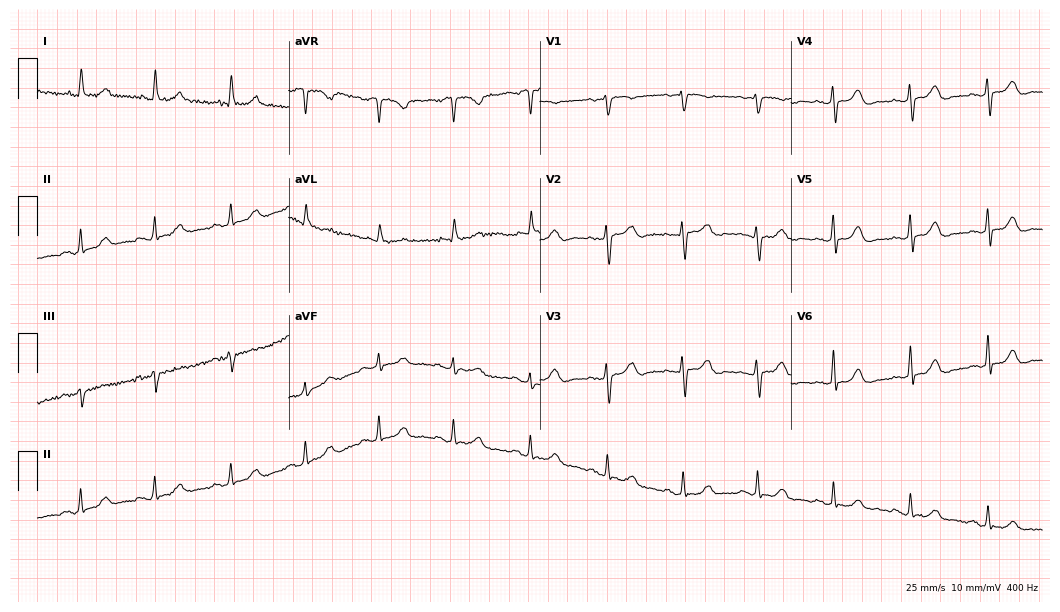
Electrocardiogram (10.2-second recording at 400 Hz), a woman, 75 years old. Of the six screened findings (first-degree AV block, right bundle branch block, left bundle branch block, sinus bradycardia, atrial fibrillation, sinus tachycardia), none is recorded. Other findings, if any, are not listed.